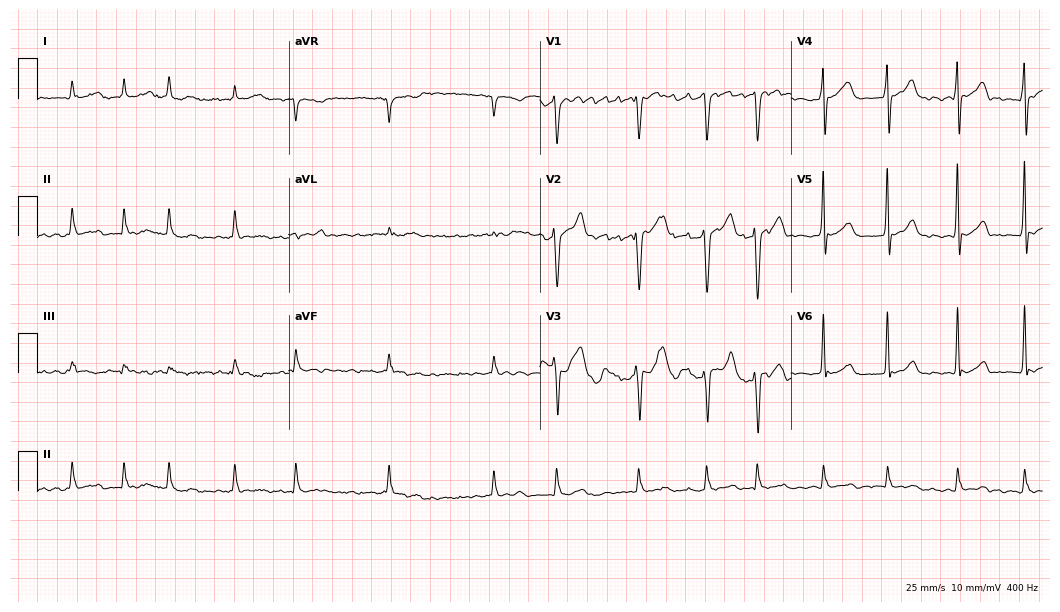
12-lead ECG from a man, 70 years old (10.2-second recording at 400 Hz). Shows atrial fibrillation.